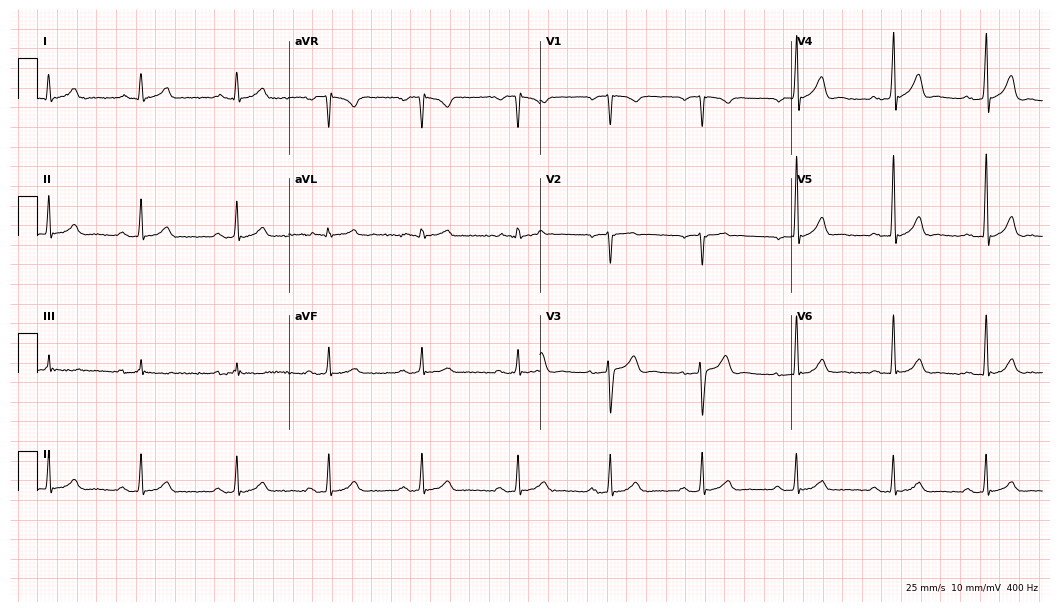
ECG — a 52-year-old man. Labelled as a normal ECG.